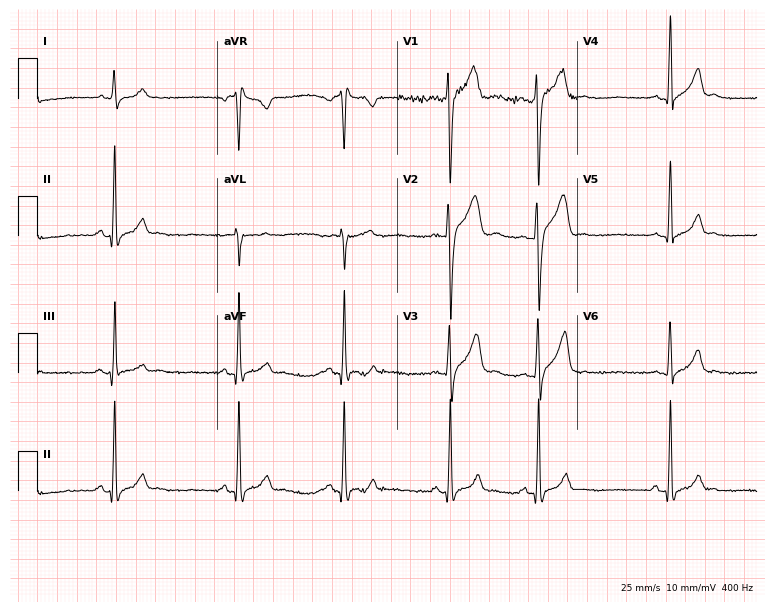
ECG — a 20-year-old male. Screened for six findings — first-degree AV block, right bundle branch block, left bundle branch block, sinus bradycardia, atrial fibrillation, sinus tachycardia — none is recorded. Other findings, if any, are not listed.